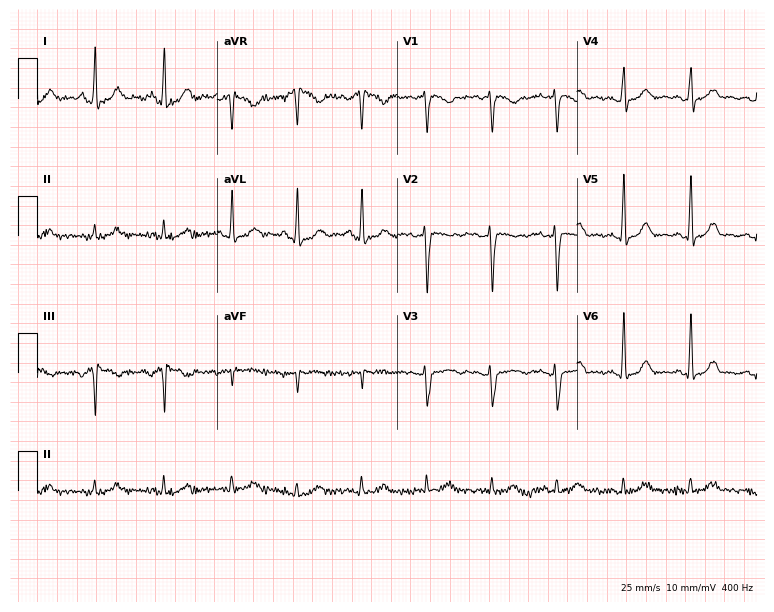
Standard 12-lead ECG recorded from a 40-year-old female (7.3-second recording at 400 Hz). Read as a normal ECG.